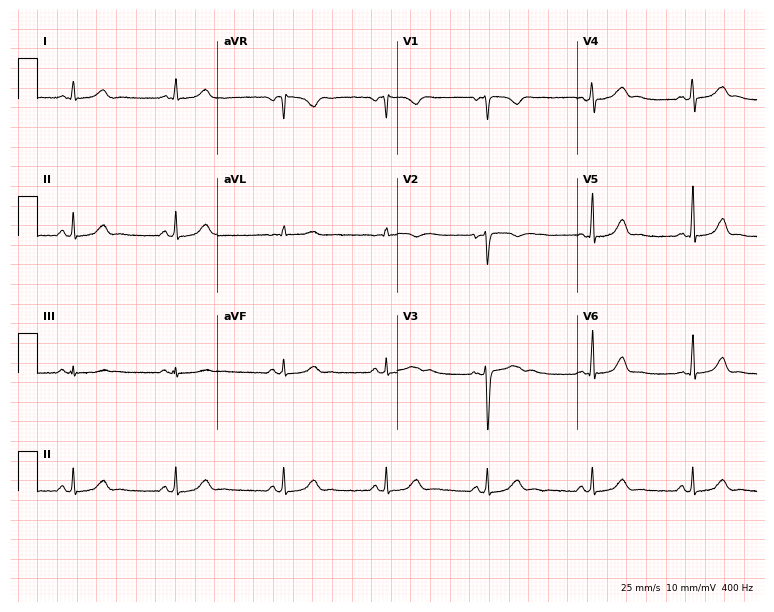
ECG (7.3-second recording at 400 Hz) — a female patient, 43 years old. Screened for six findings — first-degree AV block, right bundle branch block (RBBB), left bundle branch block (LBBB), sinus bradycardia, atrial fibrillation (AF), sinus tachycardia — none is recorded.